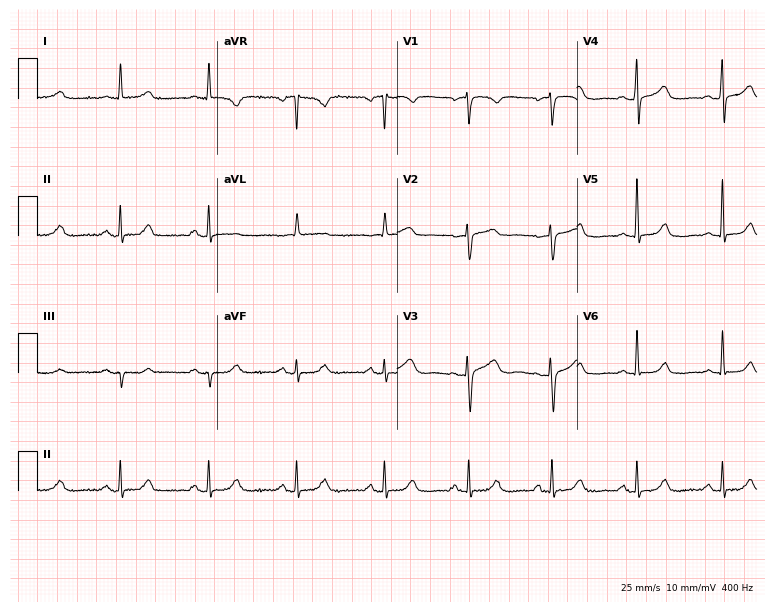
Standard 12-lead ECG recorded from a 57-year-old woman (7.3-second recording at 400 Hz). Read as a normal ECG.